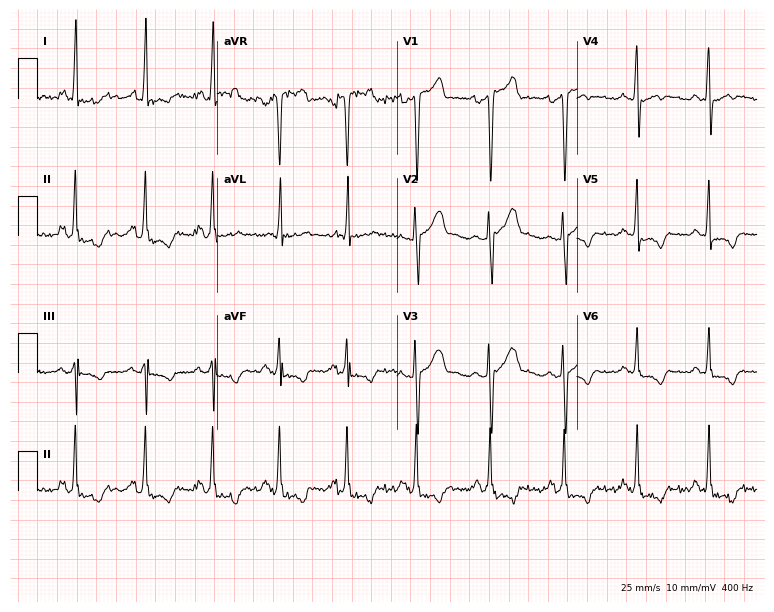
Resting 12-lead electrocardiogram (7.3-second recording at 400 Hz). Patient: a 41-year-old man. None of these six findings is recorded: first-degree AV block, right bundle branch block, left bundle branch block, sinus bradycardia, atrial fibrillation, sinus tachycardia.